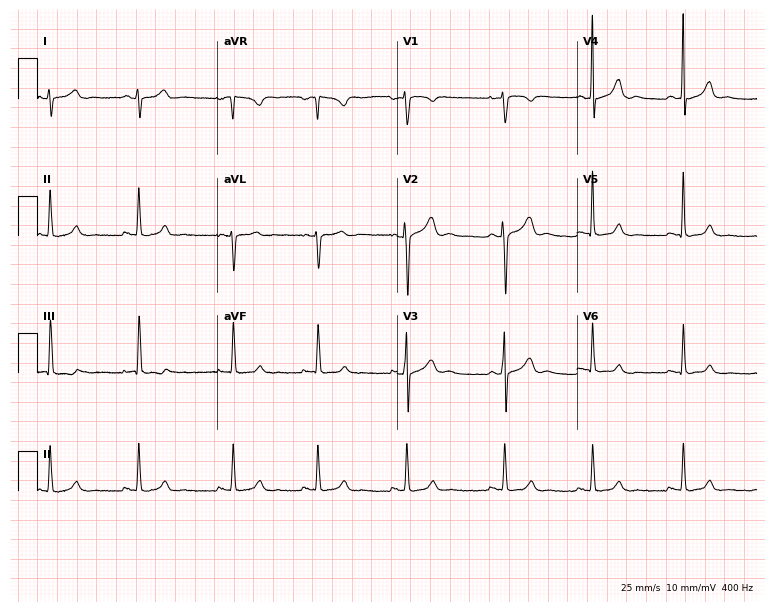
Resting 12-lead electrocardiogram. Patient: a woman, 27 years old. Read as a normal ECG.